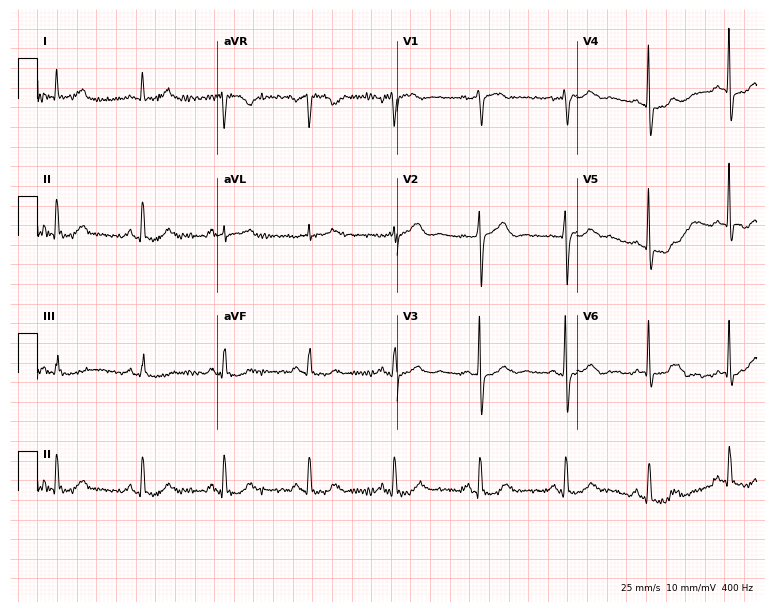
Electrocardiogram (7.3-second recording at 400 Hz), a female, 56 years old. Overall reading on record: normal ECG.